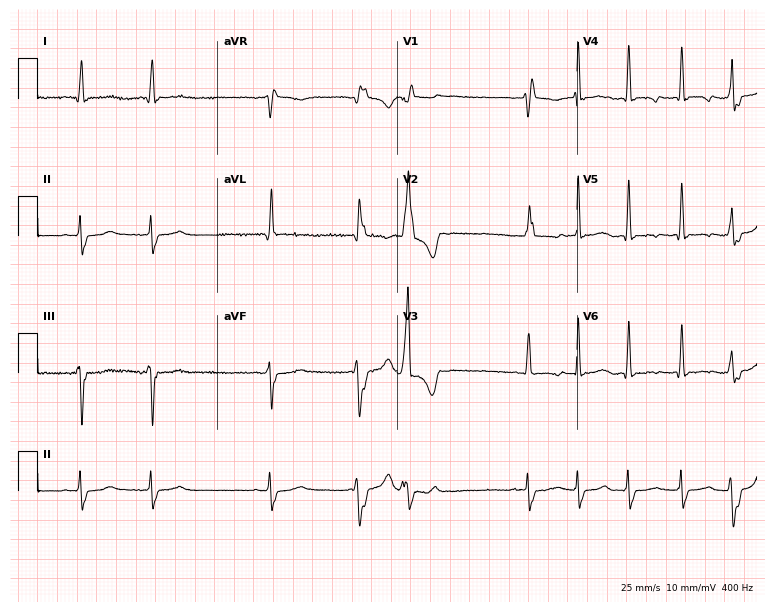
Resting 12-lead electrocardiogram. Patient: a woman, 31 years old. The tracing shows right bundle branch block, atrial fibrillation.